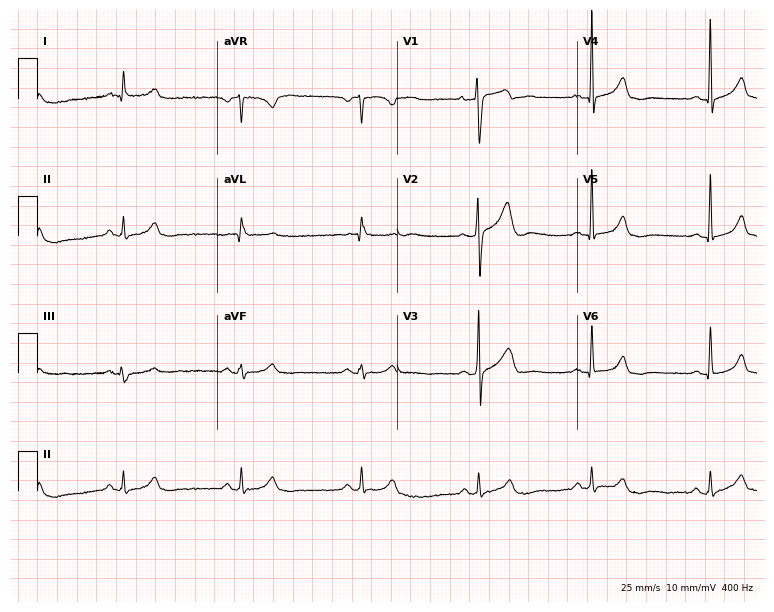
Resting 12-lead electrocardiogram (7.3-second recording at 400 Hz). Patient: a male, 42 years old. The tracing shows sinus bradycardia (a sinus rate of 50 beats per minute or less).